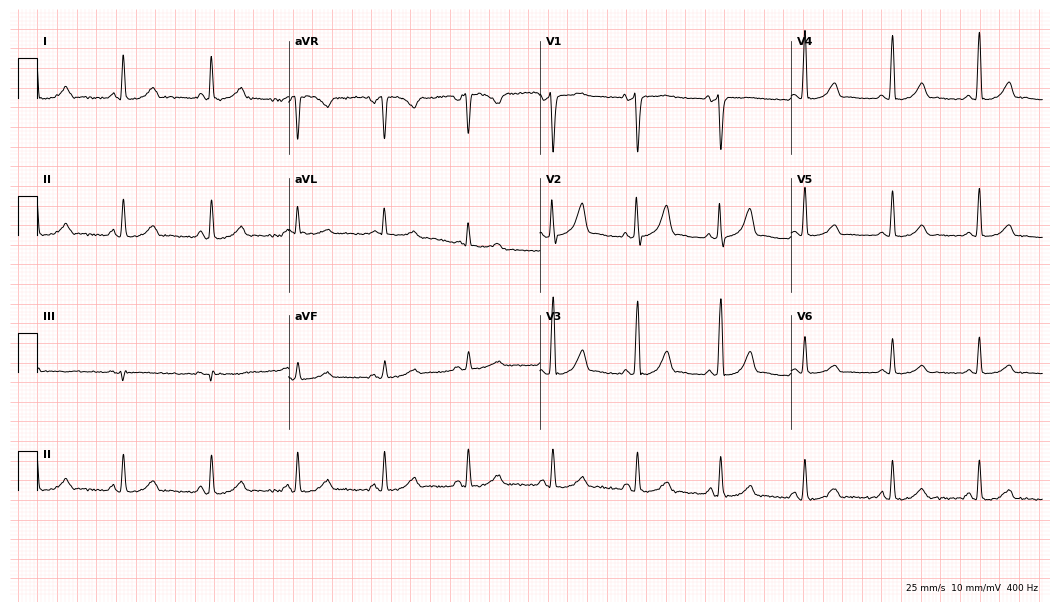
Electrocardiogram (10.2-second recording at 400 Hz), a female patient, 62 years old. Overall reading on record: normal ECG.